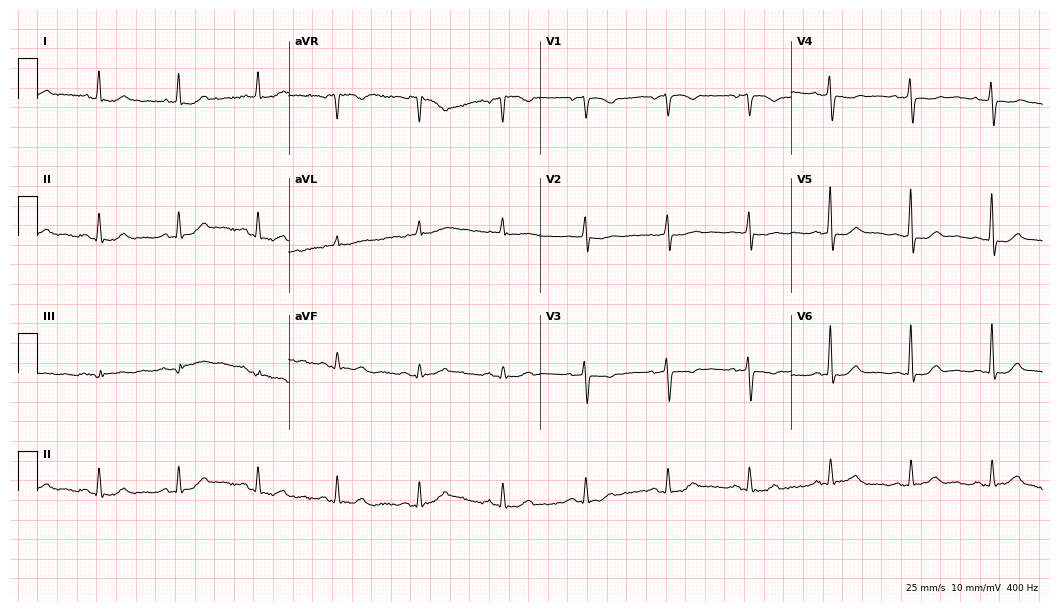
Resting 12-lead electrocardiogram (10.2-second recording at 400 Hz). Patient: a female, 67 years old. None of these six findings is recorded: first-degree AV block, right bundle branch block, left bundle branch block, sinus bradycardia, atrial fibrillation, sinus tachycardia.